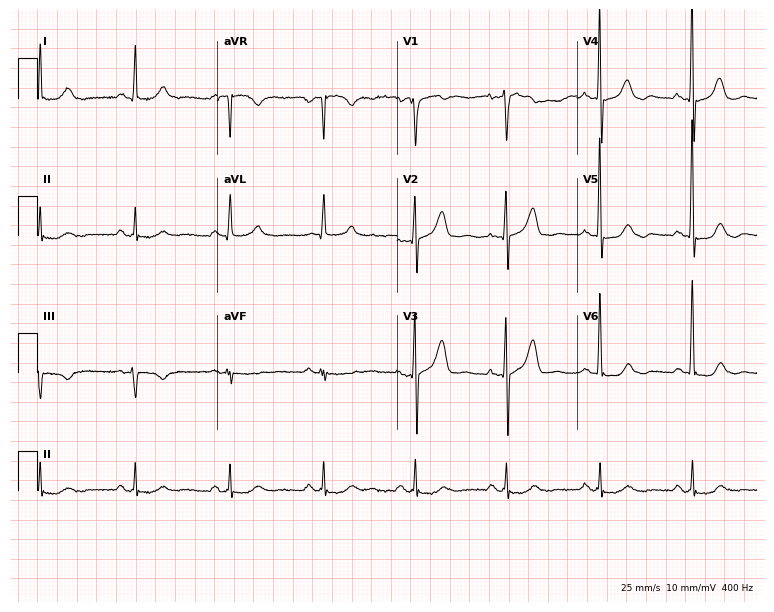
Resting 12-lead electrocardiogram. Patient: a 63-year-old man. None of these six findings is recorded: first-degree AV block, right bundle branch block, left bundle branch block, sinus bradycardia, atrial fibrillation, sinus tachycardia.